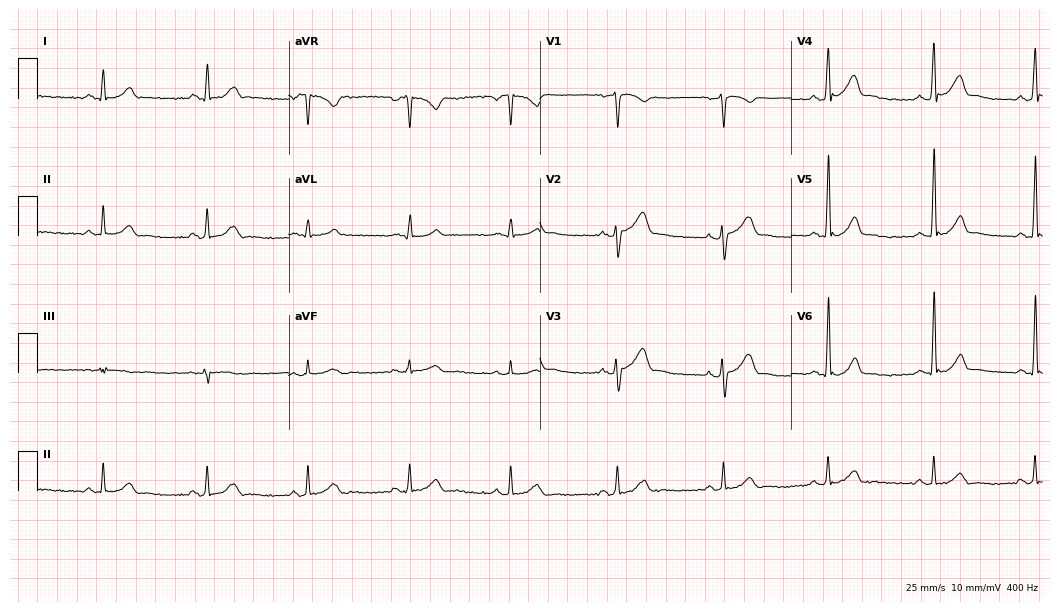
Electrocardiogram (10.2-second recording at 400 Hz), a 34-year-old man. Overall reading on record: normal ECG.